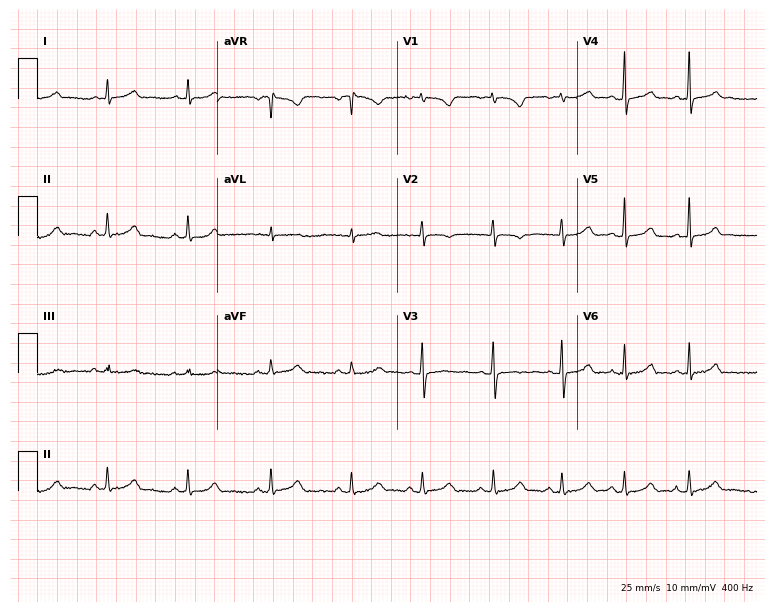
12-lead ECG (7.3-second recording at 400 Hz) from a woman, 17 years old. Labelled as a normal ECG.